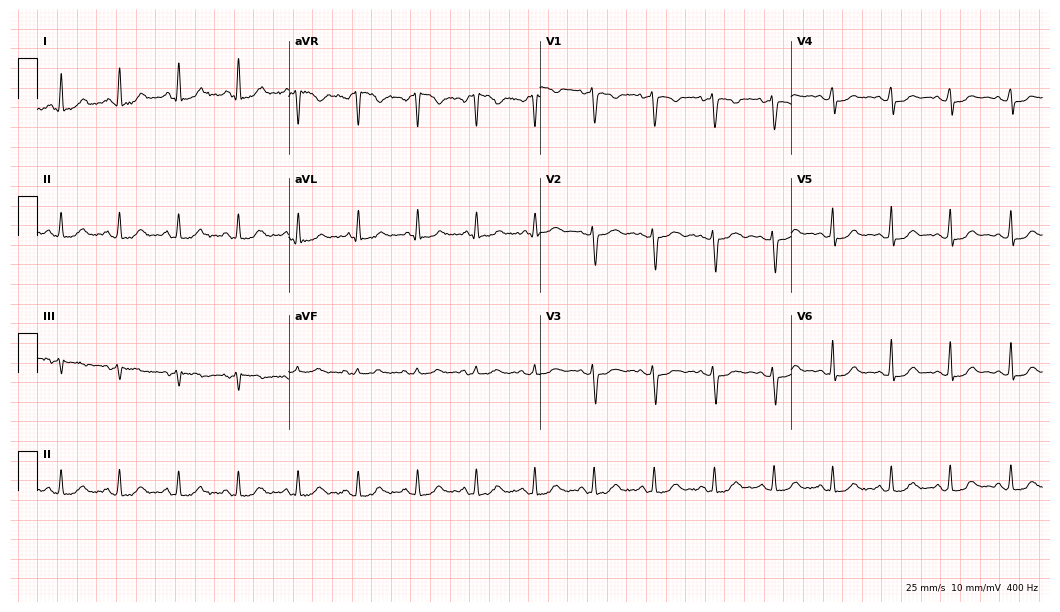
Electrocardiogram, a woman, 34 years old. Overall reading on record: normal ECG.